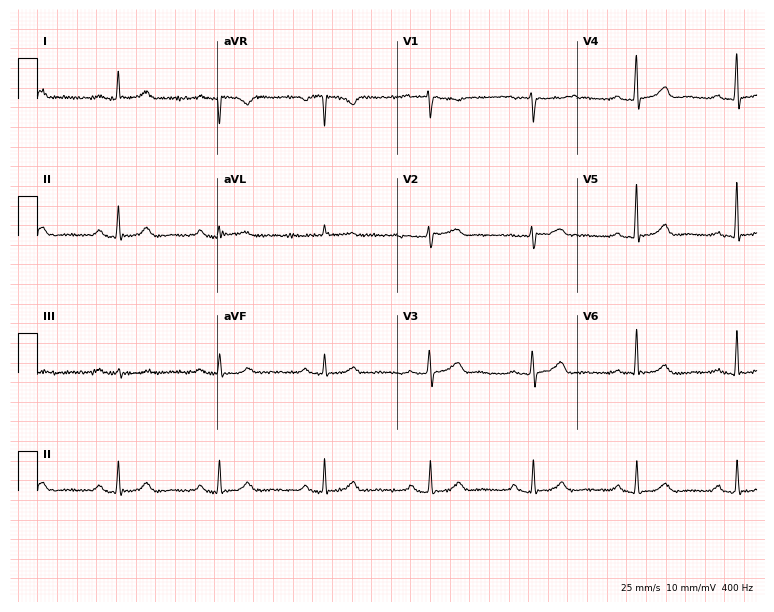
12-lead ECG from a woman, 61 years old. Recorded interpretation: within normal limits.